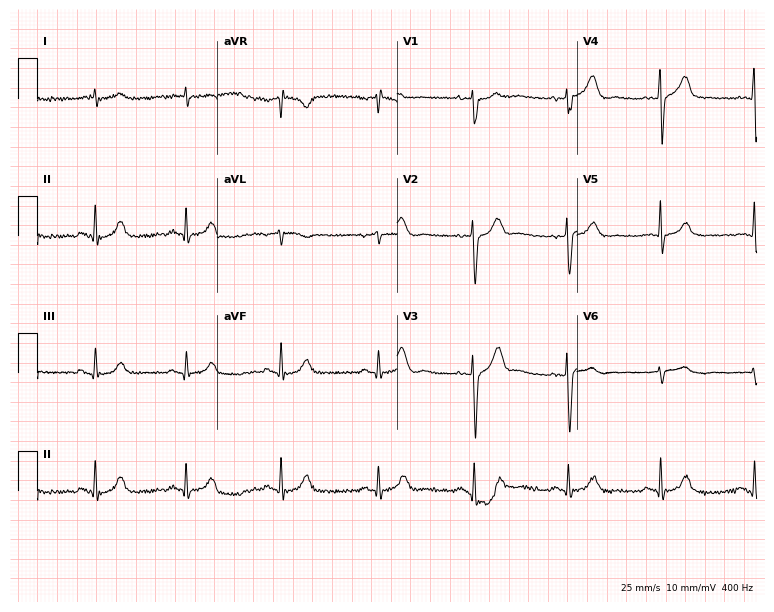
12-lead ECG from a male patient, 69 years old (7.3-second recording at 400 Hz). Recorded interpretation: within normal limits.